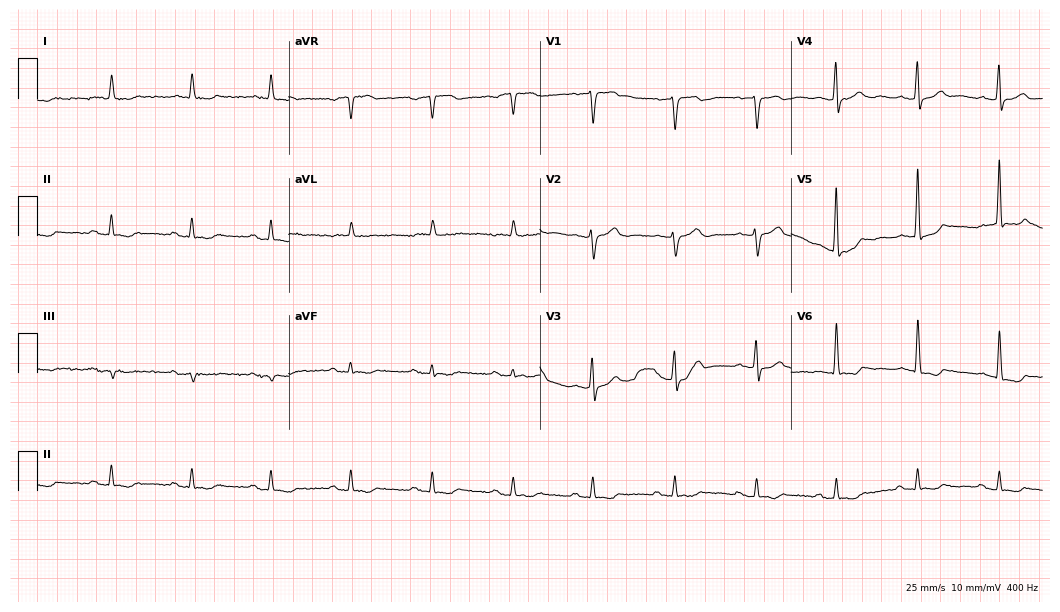
12-lead ECG (10.2-second recording at 400 Hz) from a male, 87 years old. Screened for six findings — first-degree AV block, right bundle branch block, left bundle branch block, sinus bradycardia, atrial fibrillation, sinus tachycardia — none is recorded.